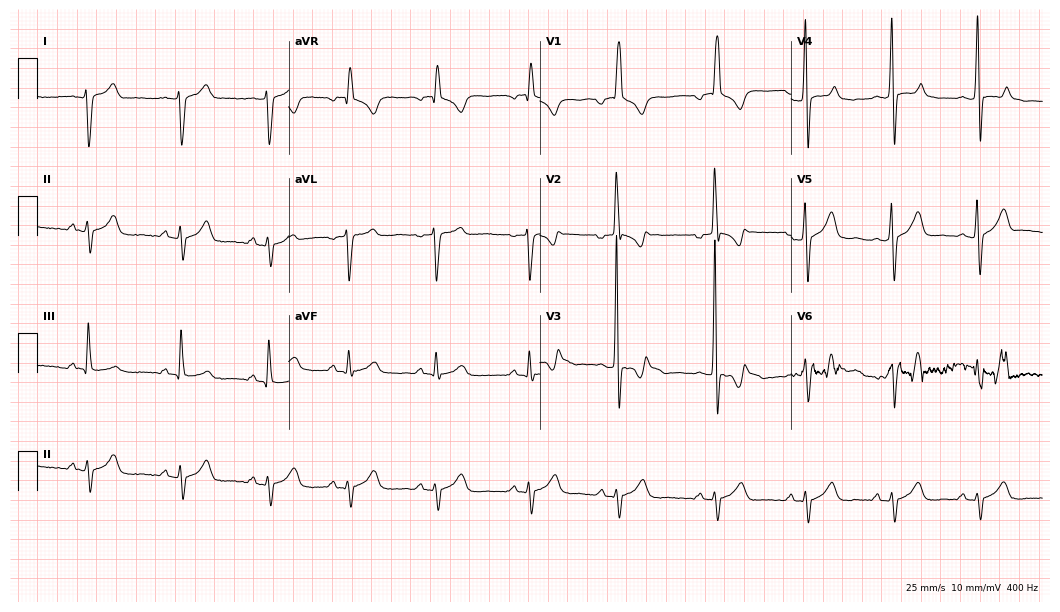
Electrocardiogram, a 29-year-old male. Of the six screened findings (first-degree AV block, right bundle branch block (RBBB), left bundle branch block (LBBB), sinus bradycardia, atrial fibrillation (AF), sinus tachycardia), none is recorded. Other findings, if any, are not listed.